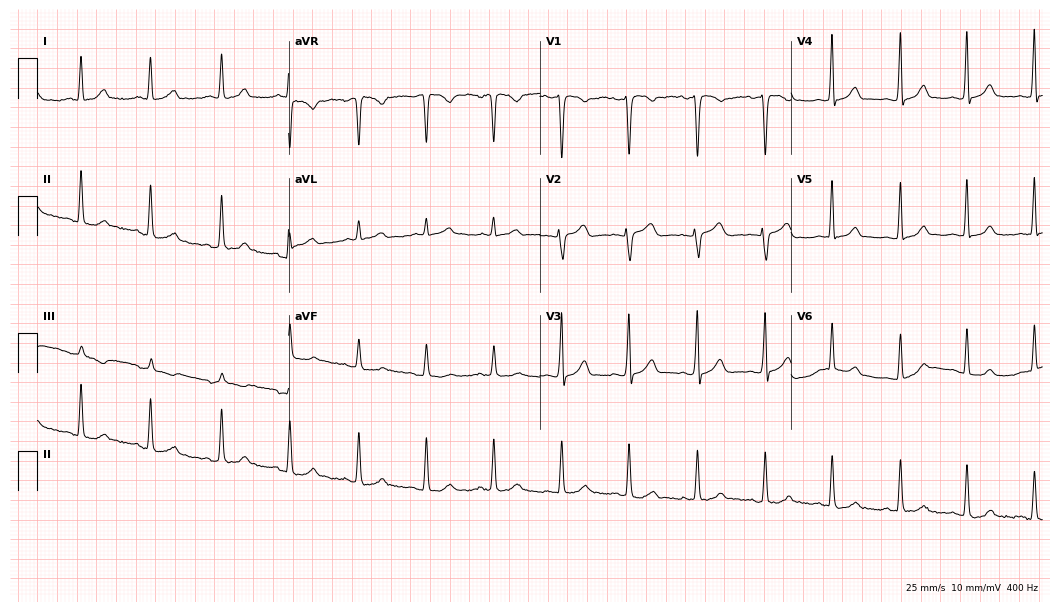
Standard 12-lead ECG recorded from a 34-year-old female patient (10.2-second recording at 400 Hz). Read as a normal ECG.